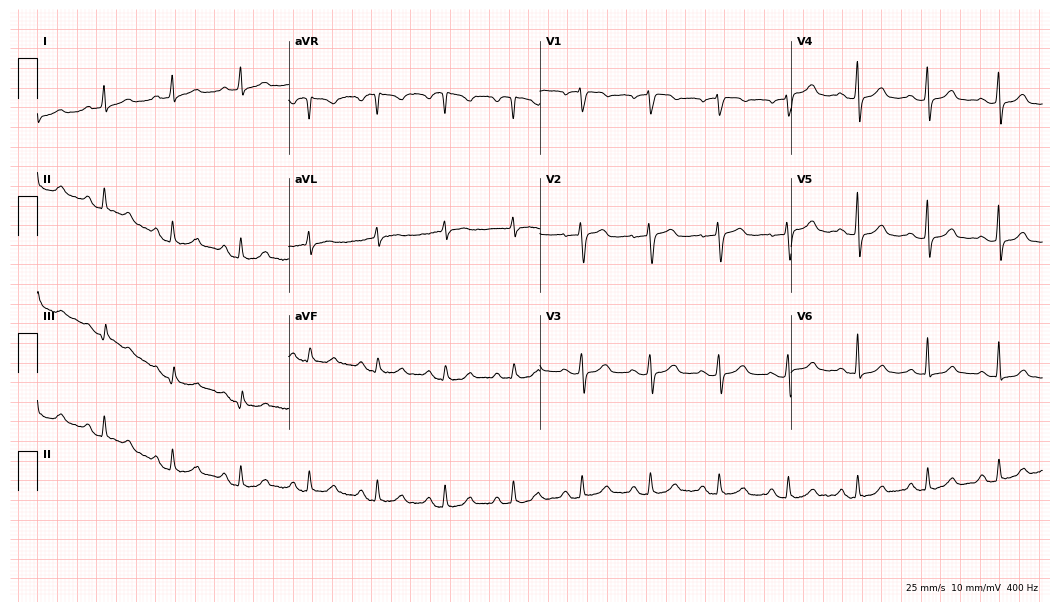
Standard 12-lead ECG recorded from a woman, 74 years old. Read as a normal ECG.